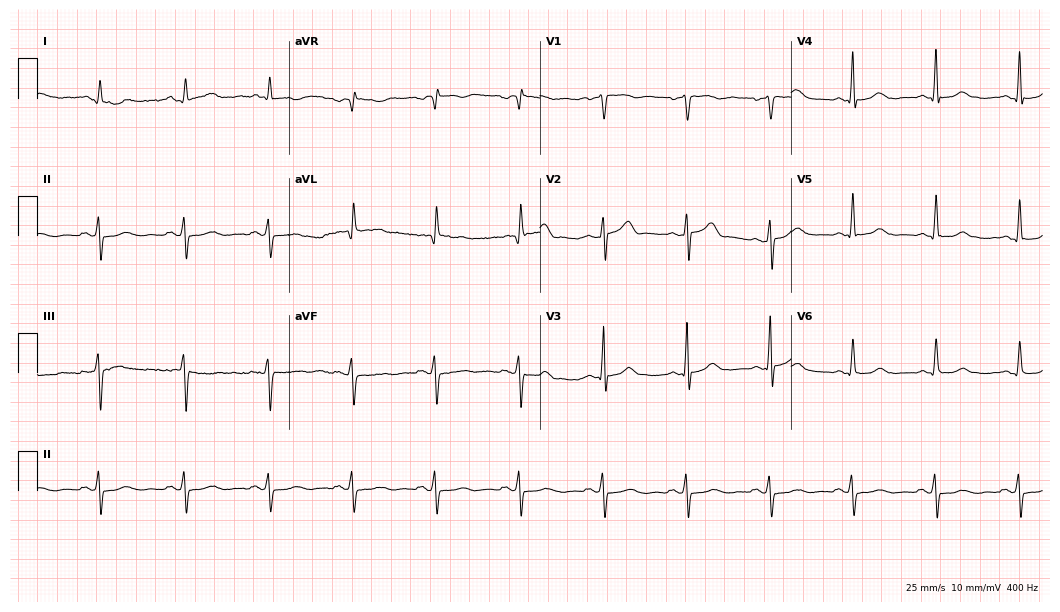
Standard 12-lead ECG recorded from a man, 53 years old. None of these six findings is recorded: first-degree AV block, right bundle branch block, left bundle branch block, sinus bradycardia, atrial fibrillation, sinus tachycardia. Findings outside these six are not listed.